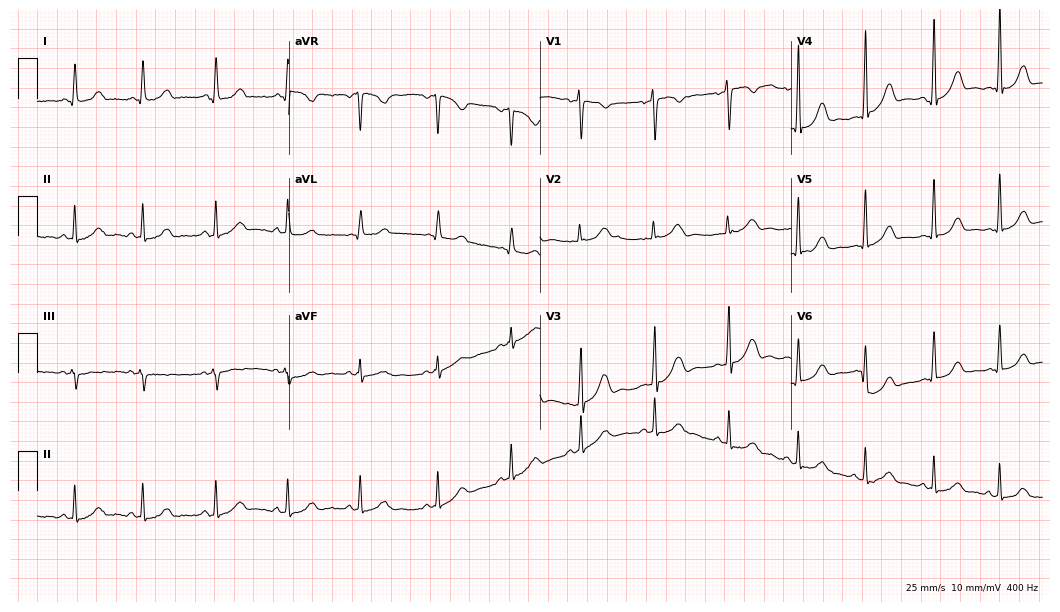
ECG — a 19-year-old female. Labelled as a normal ECG.